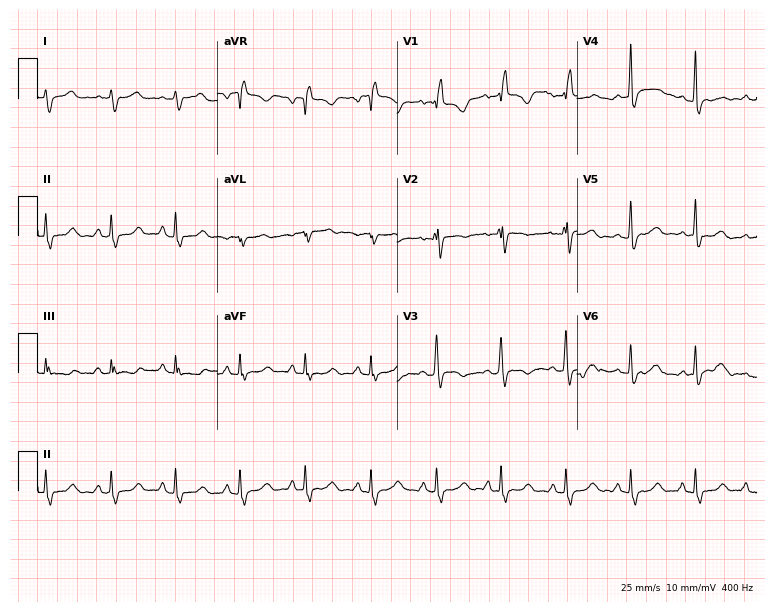
Resting 12-lead electrocardiogram (7.3-second recording at 400 Hz). Patient: a 36-year-old female. None of these six findings is recorded: first-degree AV block, right bundle branch block, left bundle branch block, sinus bradycardia, atrial fibrillation, sinus tachycardia.